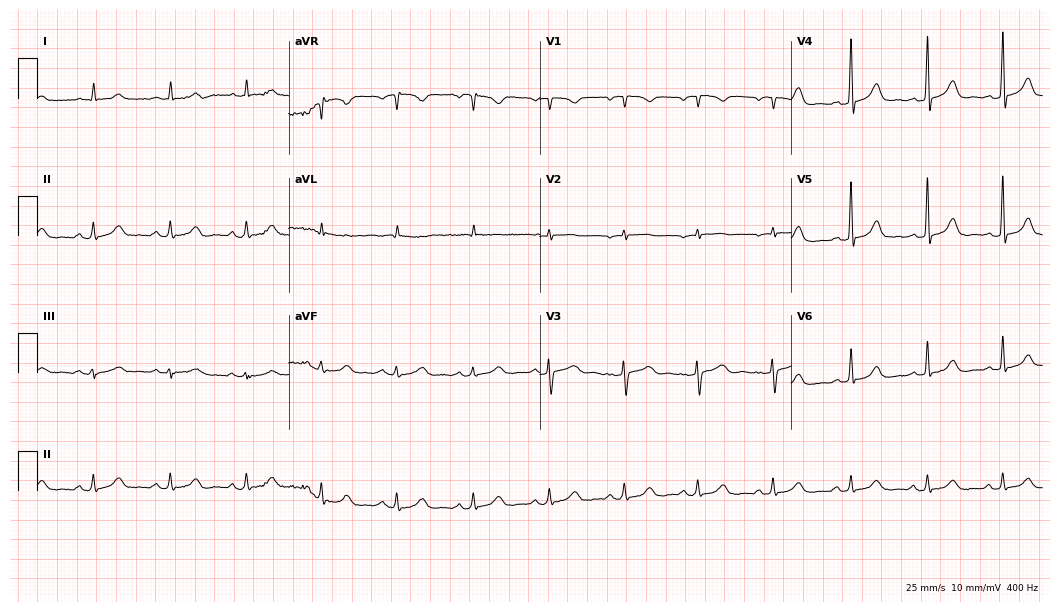
Resting 12-lead electrocardiogram. Patient: a 48-year-old female. Read as a normal ECG.